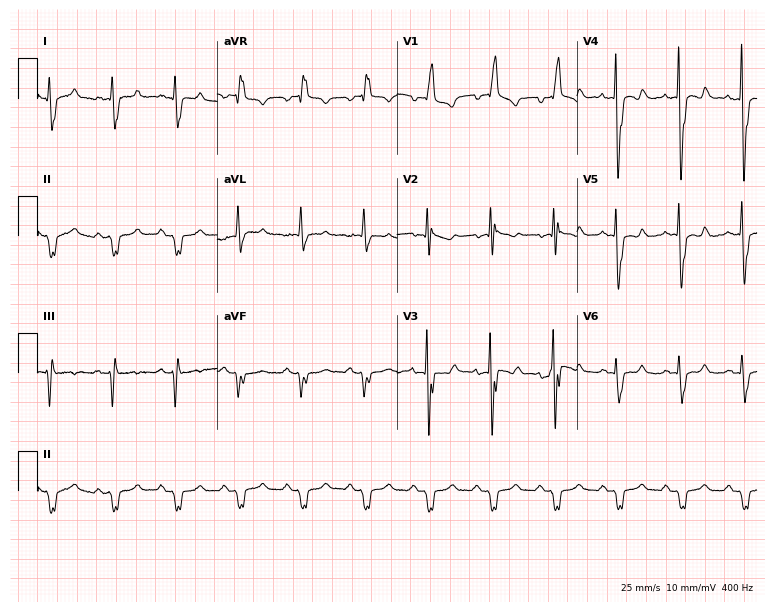
12-lead ECG from a male, 70 years old. No first-degree AV block, right bundle branch block (RBBB), left bundle branch block (LBBB), sinus bradycardia, atrial fibrillation (AF) or sinus tachycardia recorded for this tracing.